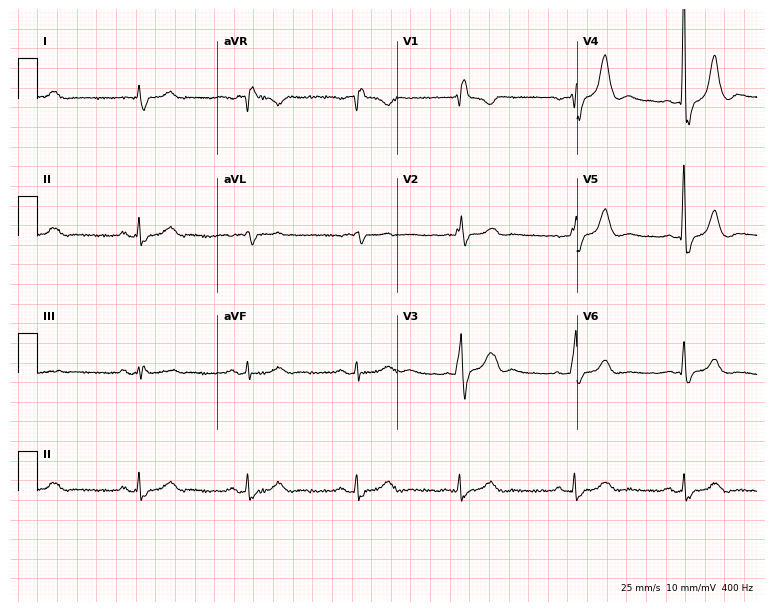
12-lead ECG from a man, 83 years old. Findings include right bundle branch block.